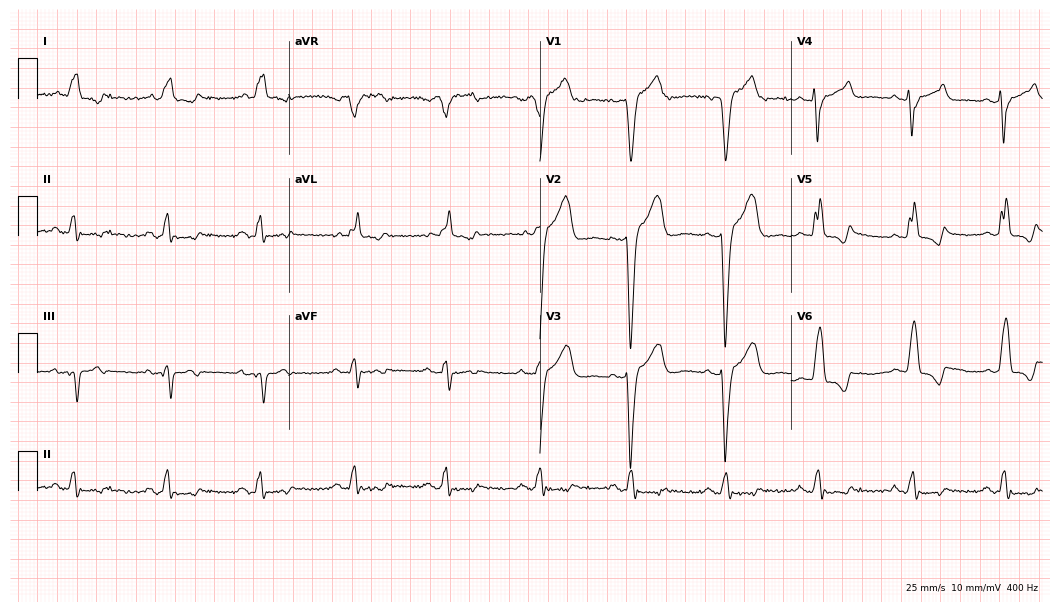
ECG — a male patient, 72 years old. Findings include left bundle branch block.